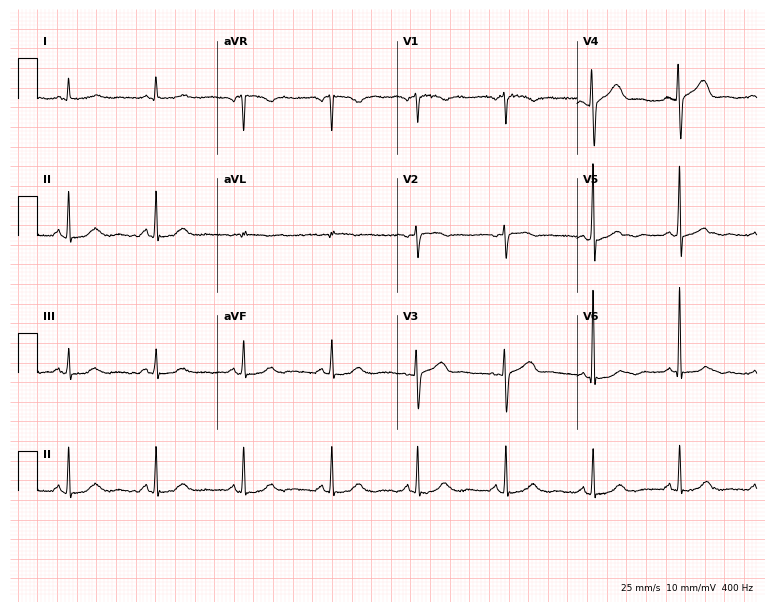
Resting 12-lead electrocardiogram (7.3-second recording at 400 Hz). Patient: a 59-year-old woman. None of these six findings is recorded: first-degree AV block, right bundle branch block, left bundle branch block, sinus bradycardia, atrial fibrillation, sinus tachycardia.